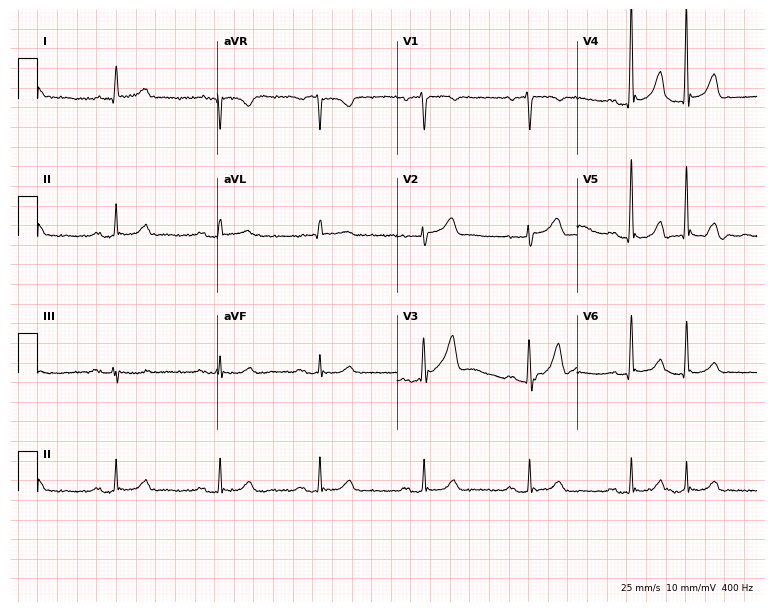
12-lead ECG from a male, 69 years old. Screened for six findings — first-degree AV block, right bundle branch block (RBBB), left bundle branch block (LBBB), sinus bradycardia, atrial fibrillation (AF), sinus tachycardia — none is recorded. Only these six findings were labelled.